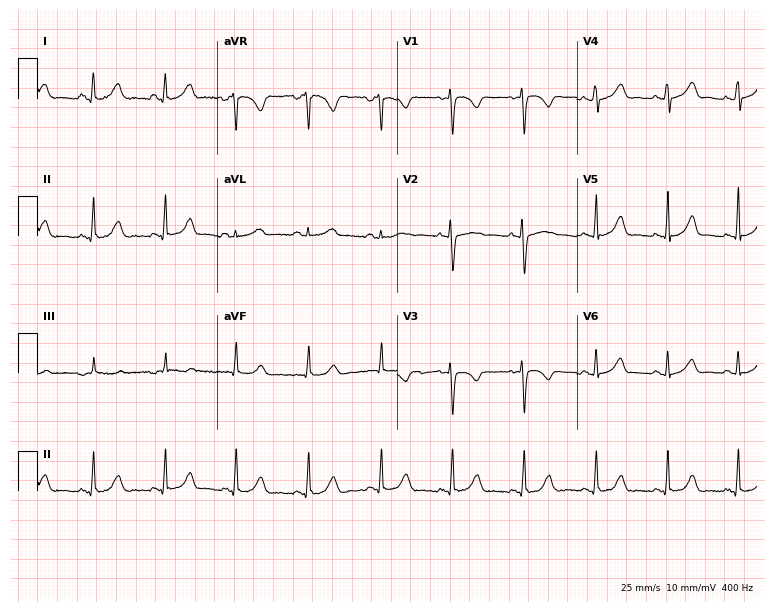
Electrocardiogram, a 27-year-old female patient. Overall reading on record: normal ECG.